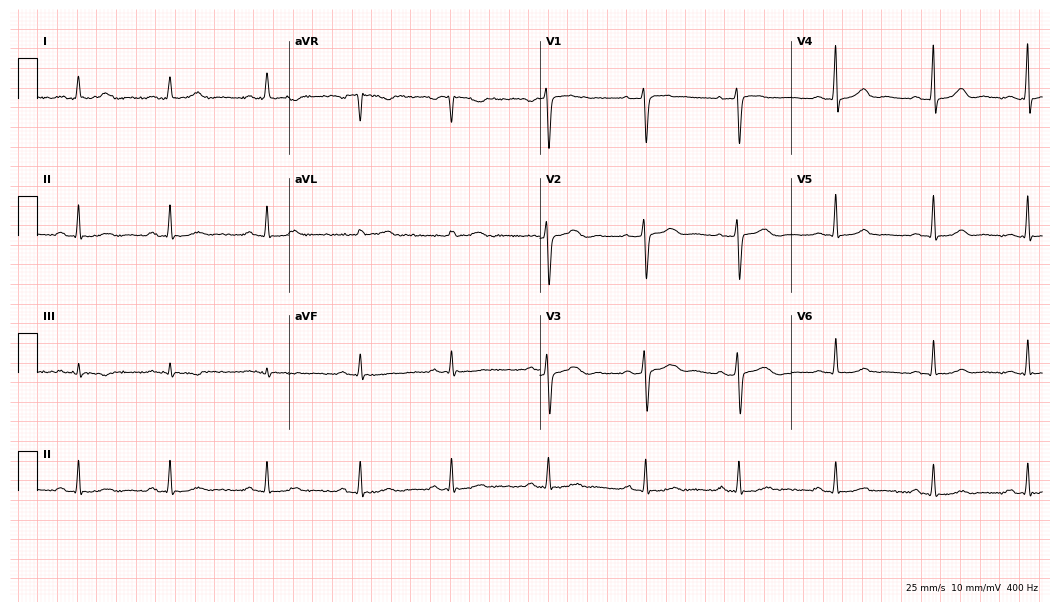
ECG — a female patient, 40 years old. Screened for six findings — first-degree AV block, right bundle branch block (RBBB), left bundle branch block (LBBB), sinus bradycardia, atrial fibrillation (AF), sinus tachycardia — none is recorded.